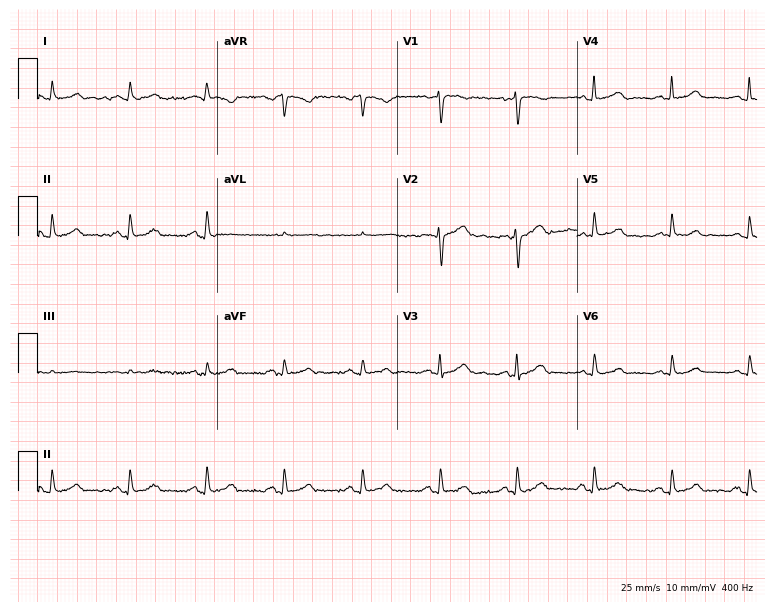
Resting 12-lead electrocardiogram. Patient: a woman, 77 years old. Read as a normal ECG.